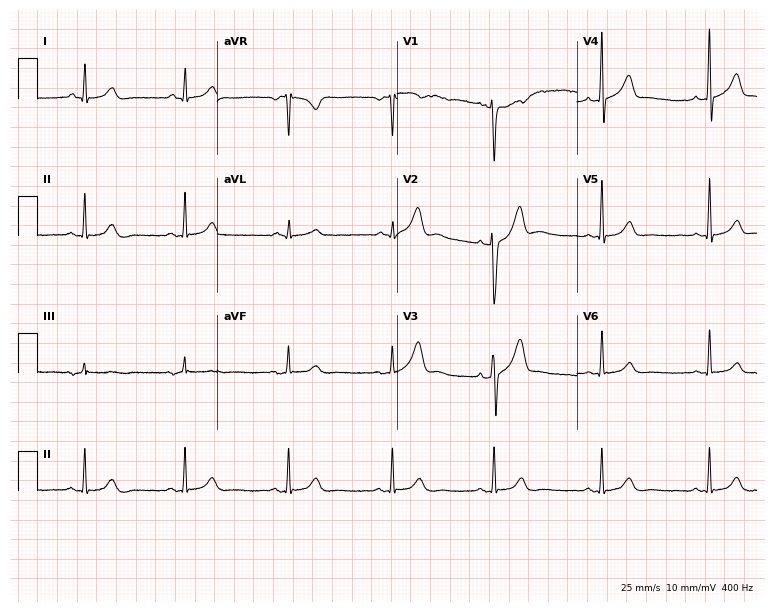
12-lead ECG from a 32-year-old male patient. No first-degree AV block, right bundle branch block (RBBB), left bundle branch block (LBBB), sinus bradycardia, atrial fibrillation (AF) or sinus tachycardia recorded for this tracing.